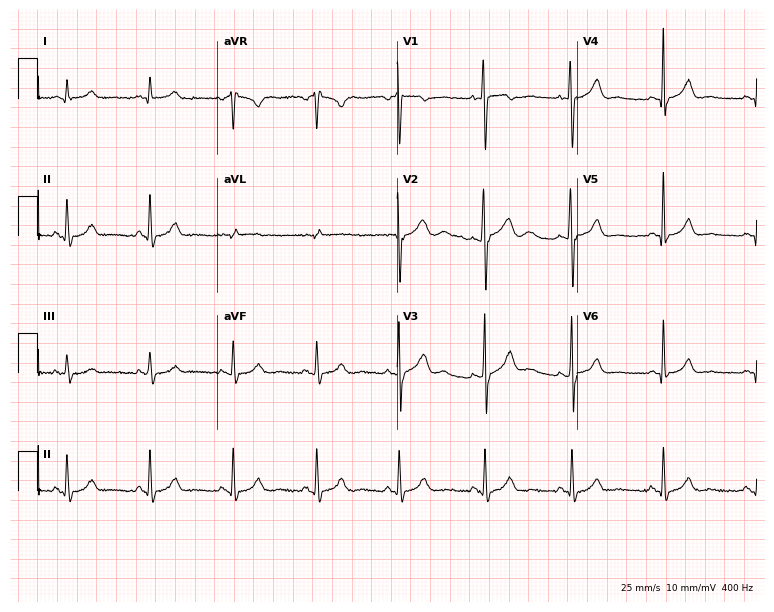
Resting 12-lead electrocardiogram. Patient: a 32-year-old male. None of these six findings is recorded: first-degree AV block, right bundle branch block, left bundle branch block, sinus bradycardia, atrial fibrillation, sinus tachycardia. Findings outside these six are not listed.